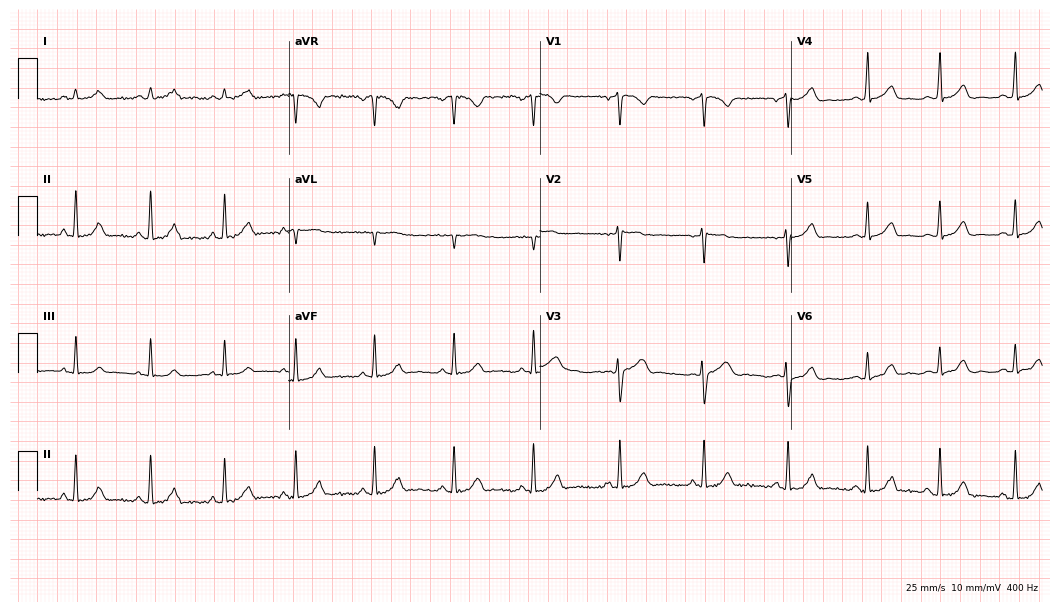
Standard 12-lead ECG recorded from a 22-year-old female patient. Read as a normal ECG.